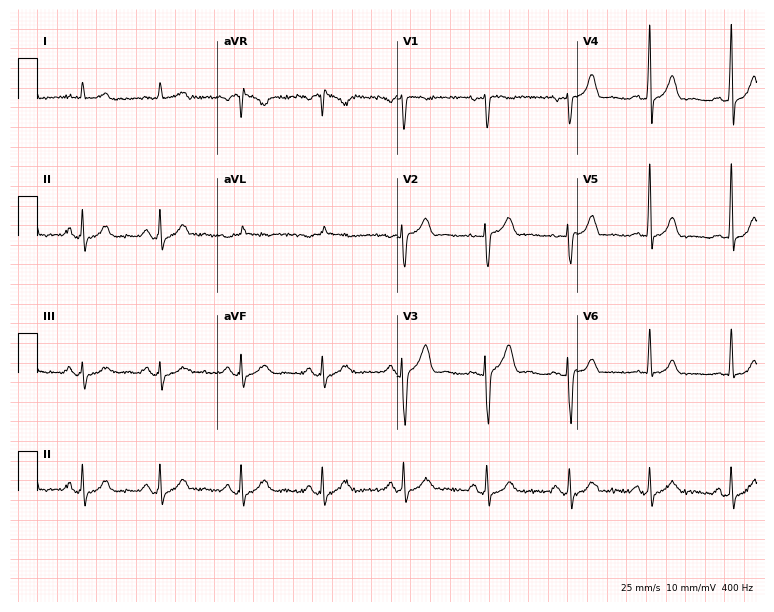
12-lead ECG (7.3-second recording at 400 Hz) from a 48-year-old man. Labelled as a normal ECG.